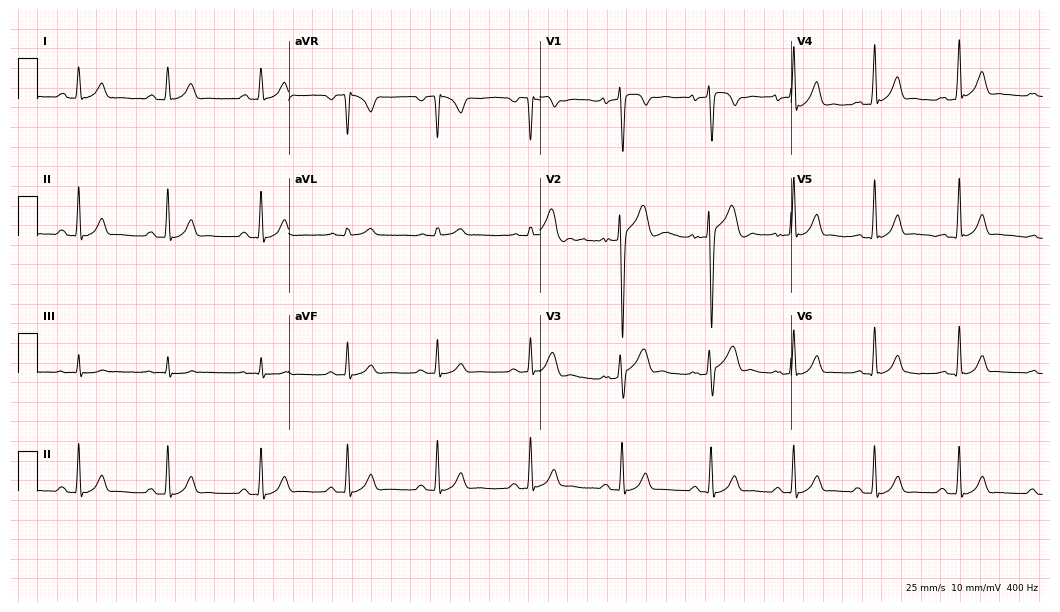
Standard 12-lead ECG recorded from a male patient, 25 years old (10.2-second recording at 400 Hz). None of these six findings is recorded: first-degree AV block, right bundle branch block (RBBB), left bundle branch block (LBBB), sinus bradycardia, atrial fibrillation (AF), sinus tachycardia.